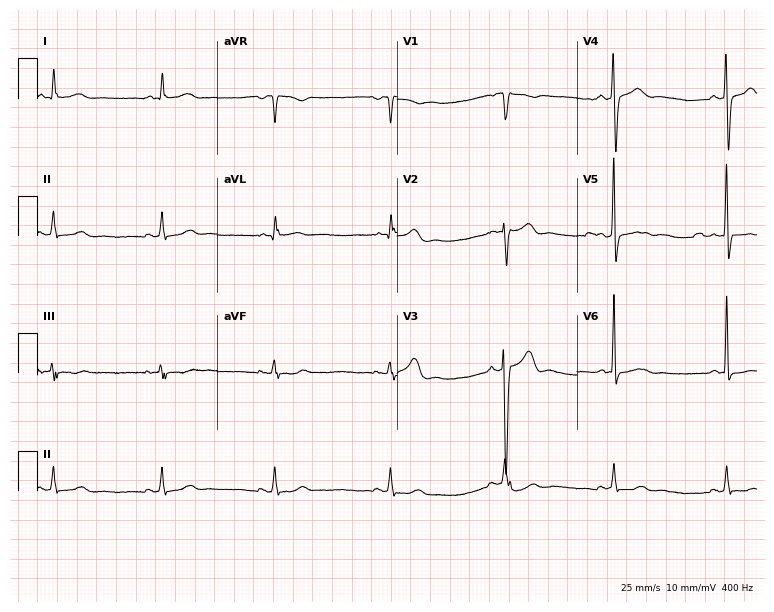
12-lead ECG (7.3-second recording at 400 Hz) from a male, 45 years old. Labelled as a normal ECG.